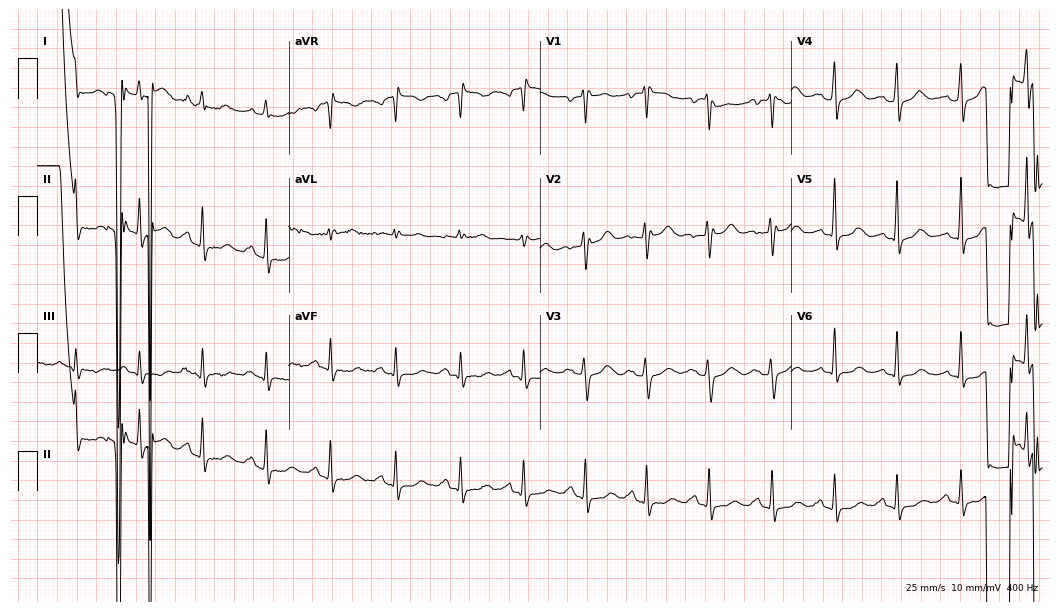
Electrocardiogram (10.2-second recording at 400 Hz), a female patient, 38 years old. Of the six screened findings (first-degree AV block, right bundle branch block (RBBB), left bundle branch block (LBBB), sinus bradycardia, atrial fibrillation (AF), sinus tachycardia), none is recorded. Findings outside these six are not listed.